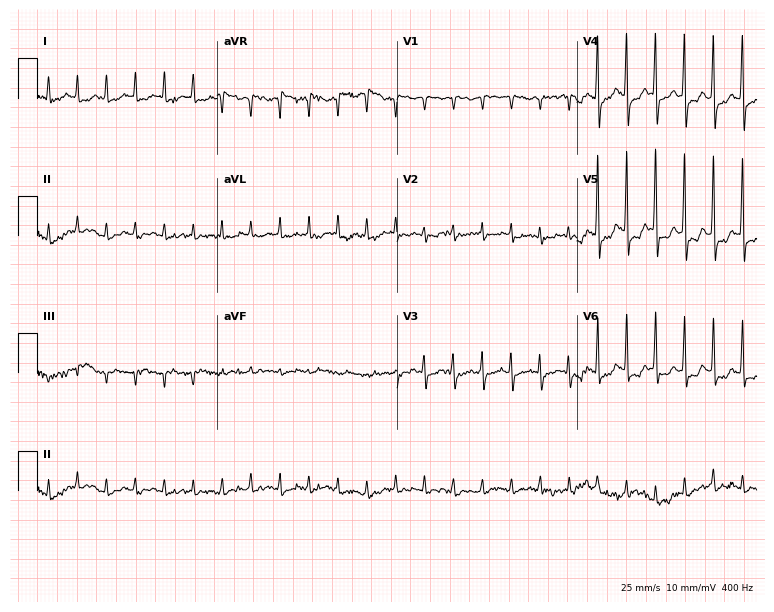
ECG — a man, 84 years old. Findings include sinus tachycardia (a sinus rate of 100 beats per minute or more).